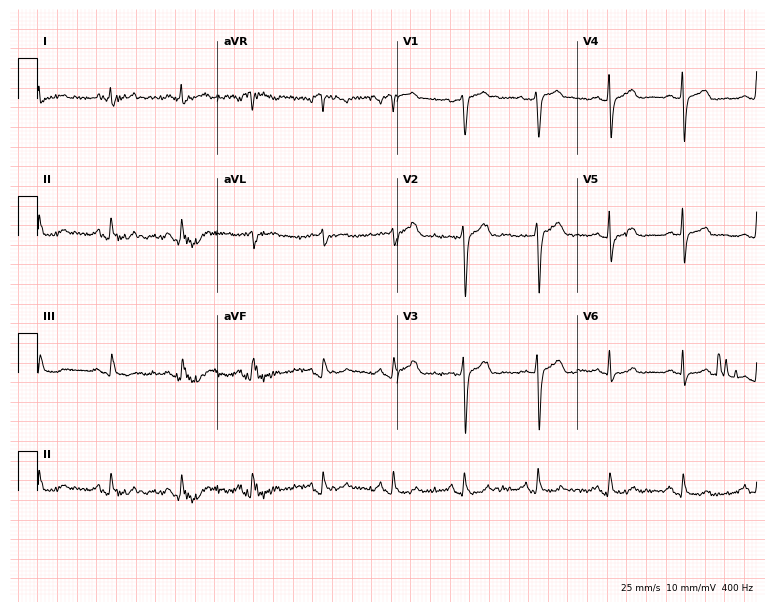
Standard 12-lead ECG recorded from a 49-year-old male. None of these six findings is recorded: first-degree AV block, right bundle branch block (RBBB), left bundle branch block (LBBB), sinus bradycardia, atrial fibrillation (AF), sinus tachycardia. Only these six findings were labelled.